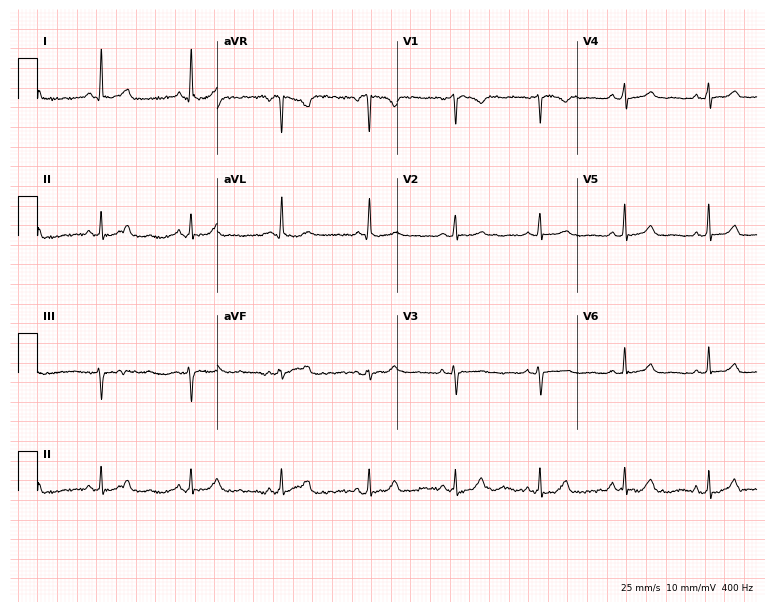
ECG — a 73-year-old woman. Labelled as a normal ECG.